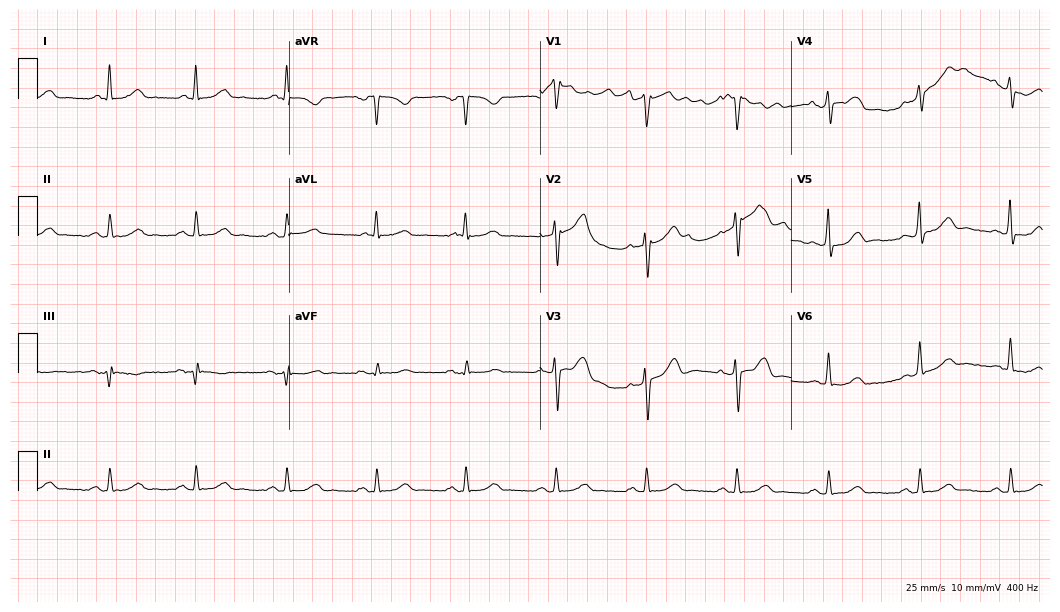
12-lead ECG from a 64-year-old male patient. Labelled as a normal ECG.